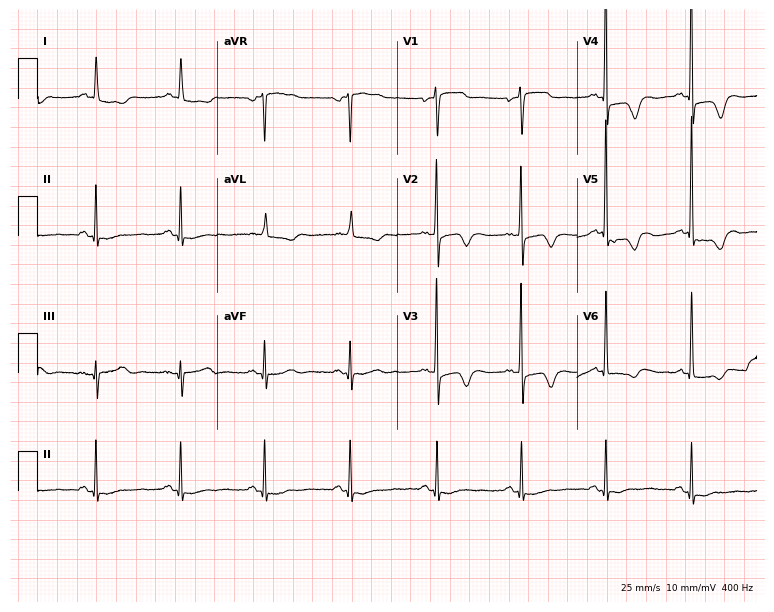
ECG — an 84-year-old female patient. Screened for six findings — first-degree AV block, right bundle branch block (RBBB), left bundle branch block (LBBB), sinus bradycardia, atrial fibrillation (AF), sinus tachycardia — none is recorded. Findings outside these six are not listed.